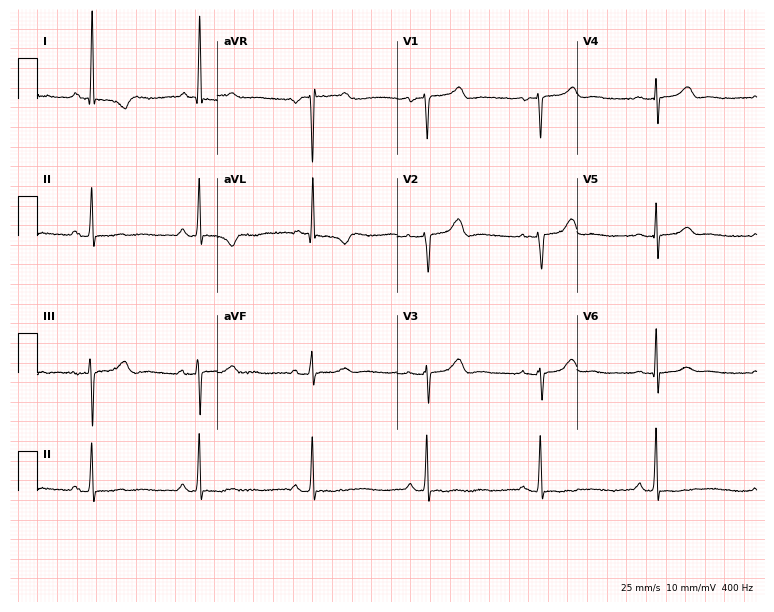
Resting 12-lead electrocardiogram (7.3-second recording at 400 Hz). Patient: a female, 87 years old. None of these six findings is recorded: first-degree AV block, right bundle branch block (RBBB), left bundle branch block (LBBB), sinus bradycardia, atrial fibrillation (AF), sinus tachycardia. Only these six findings were labelled.